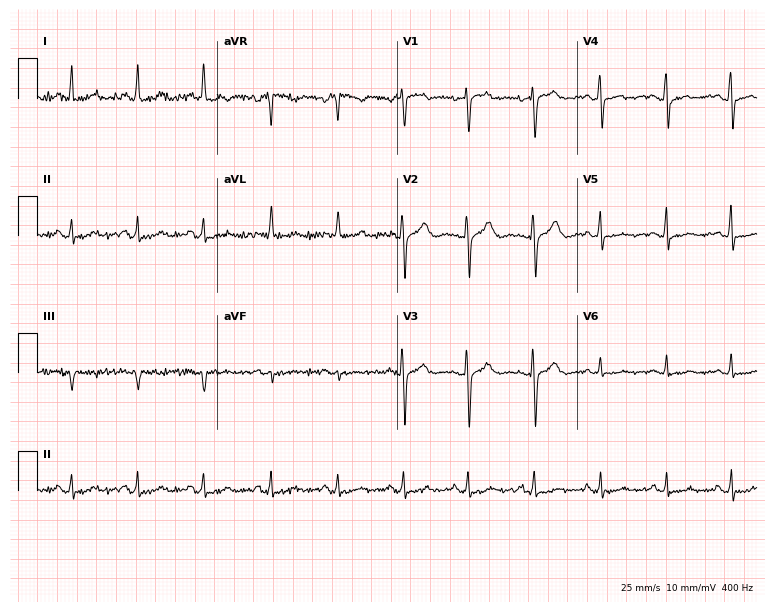
12-lead ECG (7.3-second recording at 400 Hz) from a 65-year-old female patient. Screened for six findings — first-degree AV block, right bundle branch block, left bundle branch block, sinus bradycardia, atrial fibrillation, sinus tachycardia — none is recorded. Only these six findings were labelled.